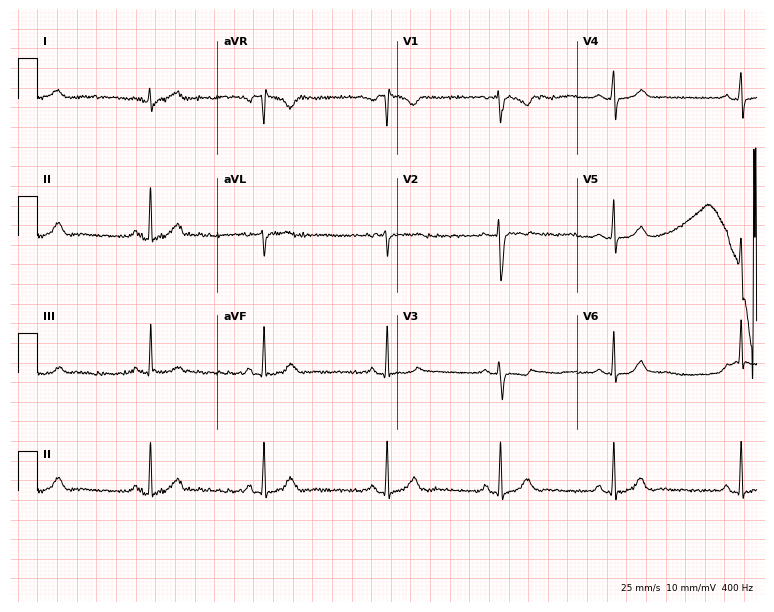
12-lead ECG from a 23-year-old female. Labelled as a normal ECG.